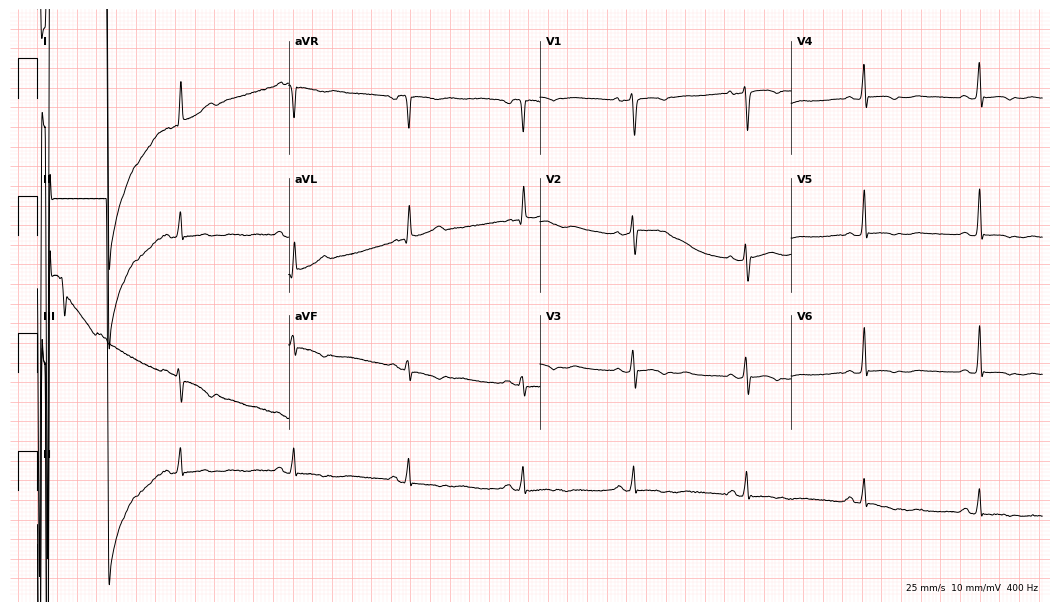
12-lead ECG from a 59-year-old female patient. No first-degree AV block, right bundle branch block, left bundle branch block, sinus bradycardia, atrial fibrillation or sinus tachycardia recorded for this tracing. Findings outside these six are not listed.